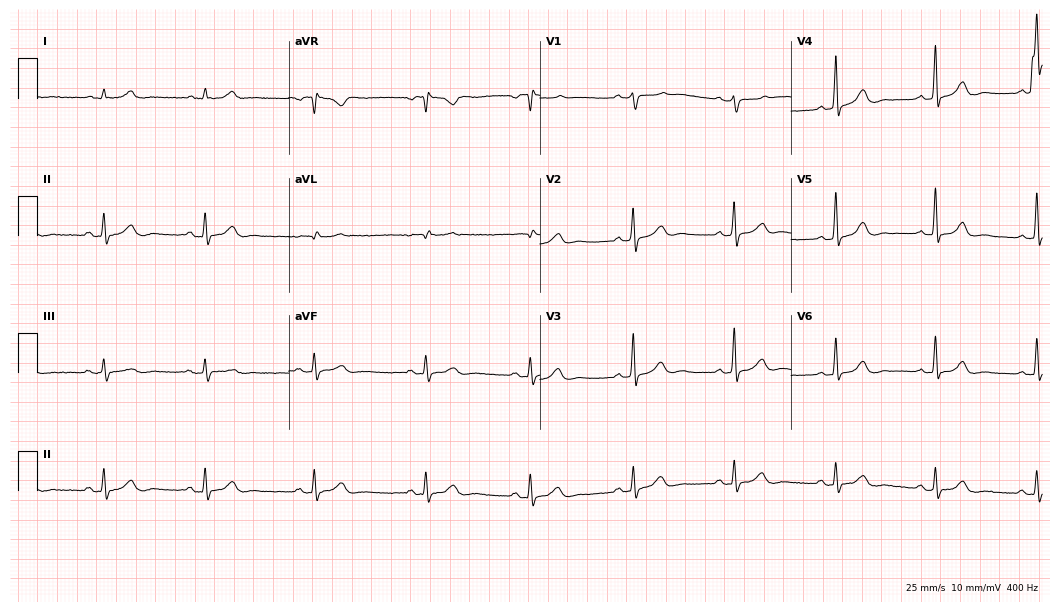
Electrocardiogram (10.2-second recording at 400 Hz), a male, 54 years old. Overall reading on record: normal ECG.